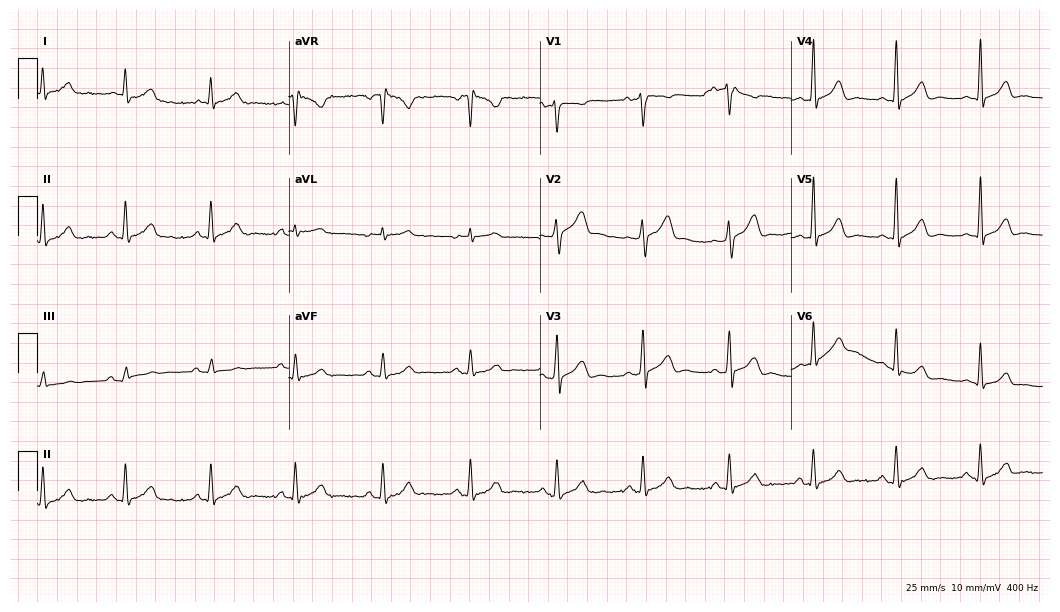
12-lead ECG from a man, 60 years old (10.2-second recording at 400 Hz). Recorded interpretation: within normal limits.